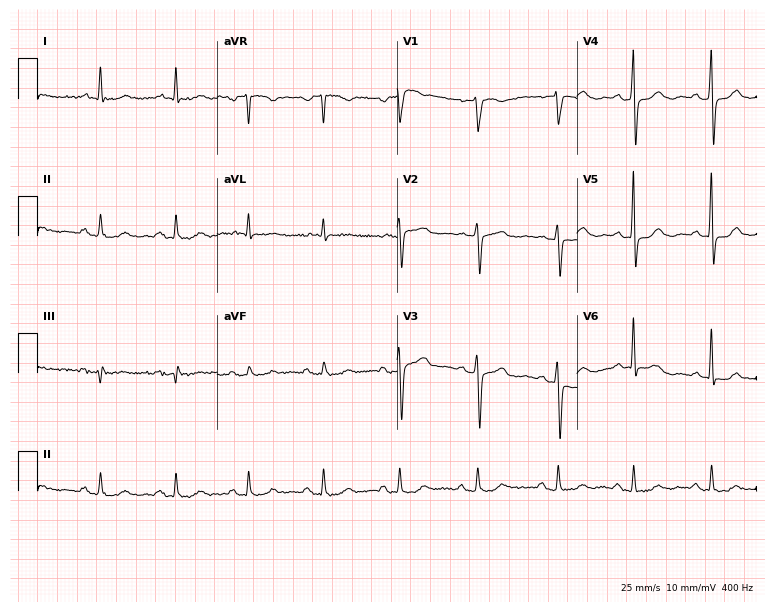
ECG — a female, 59 years old. Screened for six findings — first-degree AV block, right bundle branch block, left bundle branch block, sinus bradycardia, atrial fibrillation, sinus tachycardia — none is recorded. Other findings, if any, are not listed.